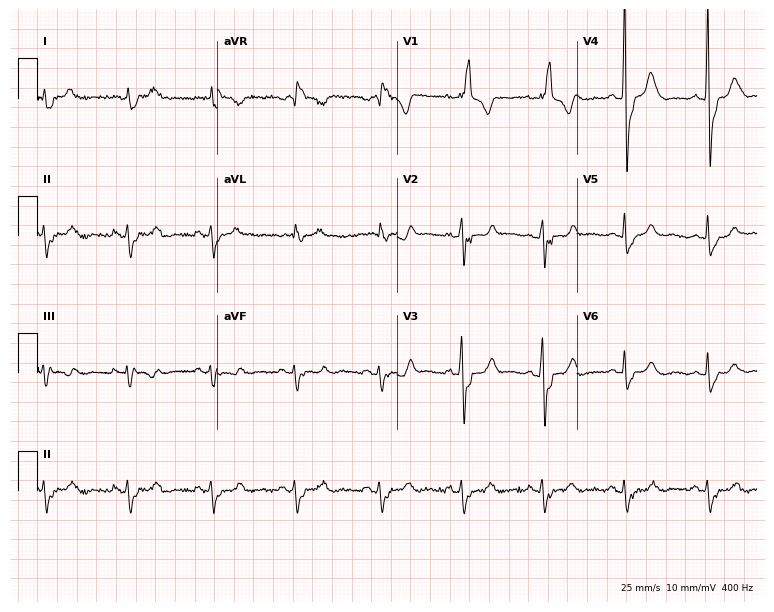
12-lead ECG (7.3-second recording at 400 Hz) from a 60-year-old female. Findings include right bundle branch block.